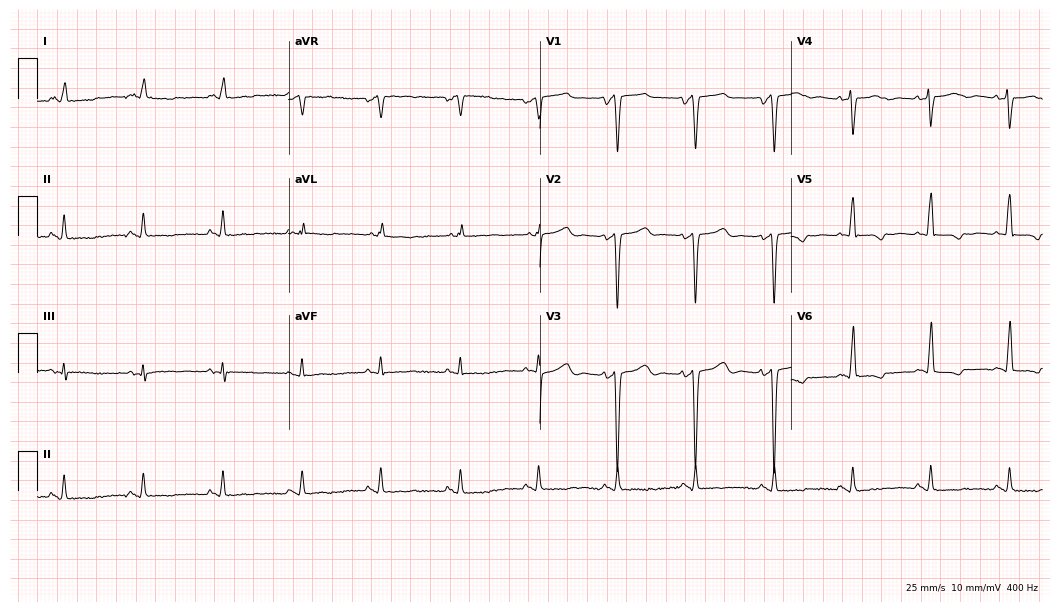
ECG (10.2-second recording at 400 Hz) — a male patient, 60 years old. Screened for six findings — first-degree AV block, right bundle branch block (RBBB), left bundle branch block (LBBB), sinus bradycardia, atrial fibrillation (AF), sinus tachycardia — none is recorded.